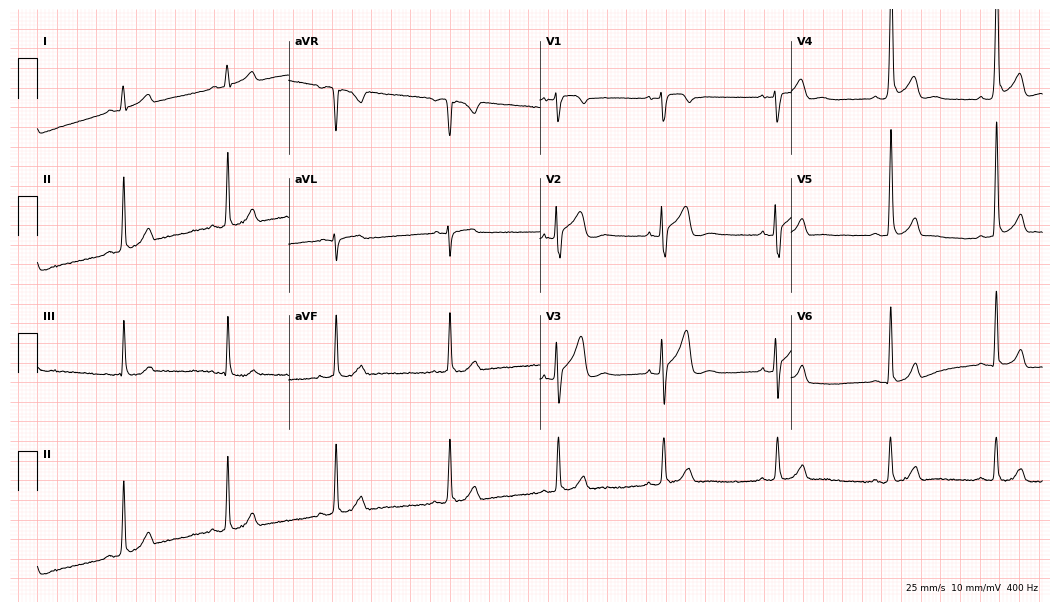
12-lead ECG from a 21-year-old male patient. Screened for six findings — first-degree AV block, right bundle branch block, left bundle branch block, sinus bradycardia, atrial fibrillation, sinus tachycardia — none is recorded. Findings outside these six are not listed.